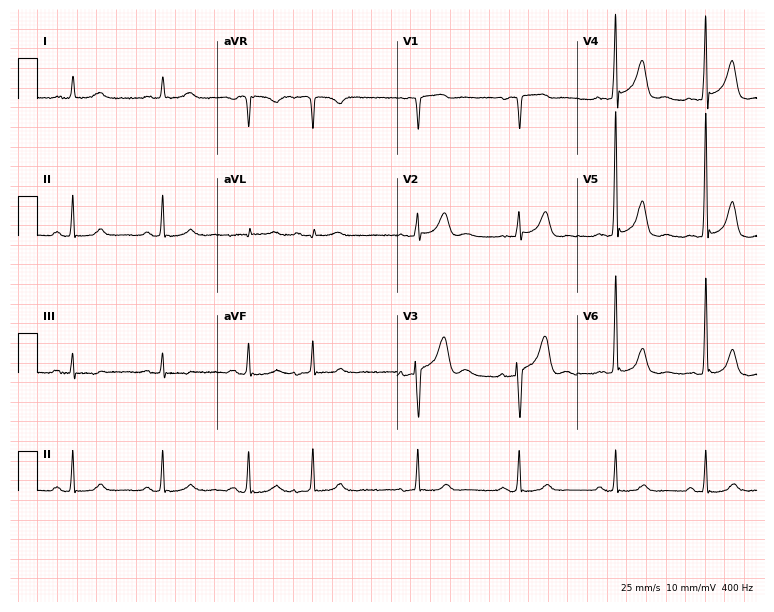
12-lead ECG from a 77-year-old man. Screened for six findings — first-degree AV block, right bundle branch block, left bundle branch block, sinus bradycardia, atrial fibrillation, sinus tachycardia — none is recorded. Only these six findings were labelled.